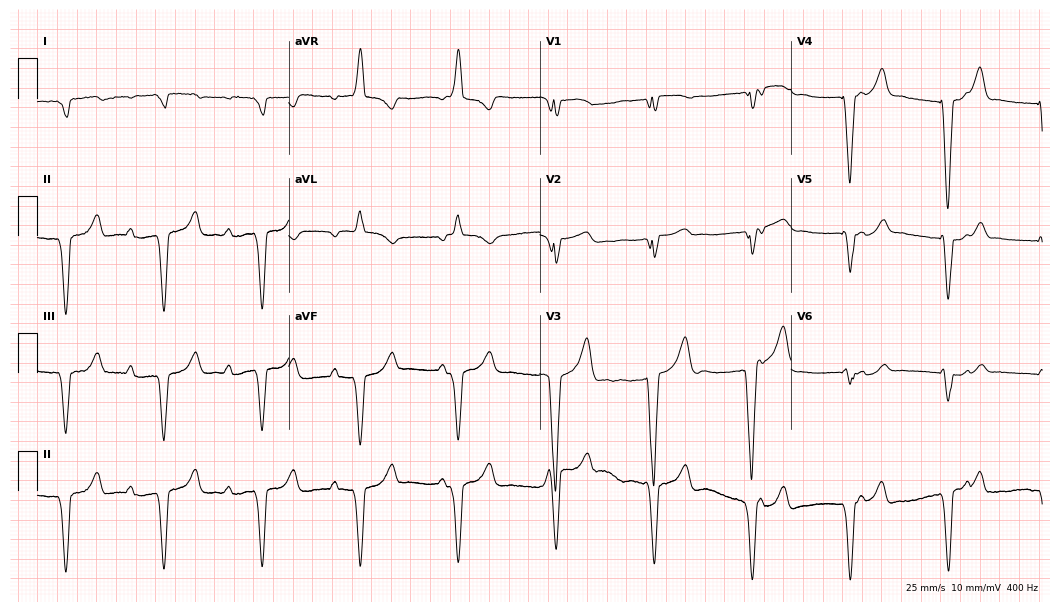
Standard 12-lead ECG recorded from a woman, 85 years old (10.2-second recording at 400 Hz). None of these six findings is recorded: first-degree AV block, right bundle branch block (RBBB), left bundle branch block (LBBB), sinus bradycardia, atrial fibrillation (AF), sinus tachycardia.